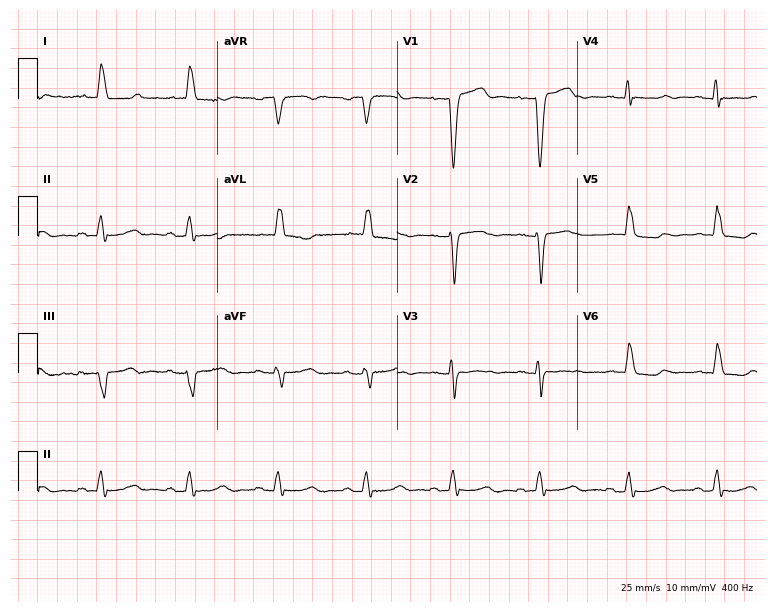
ECG (7.3-second recording at 400 Hz) — a female patient, 75 years old. Findings include left bundle branch block (LBBB).